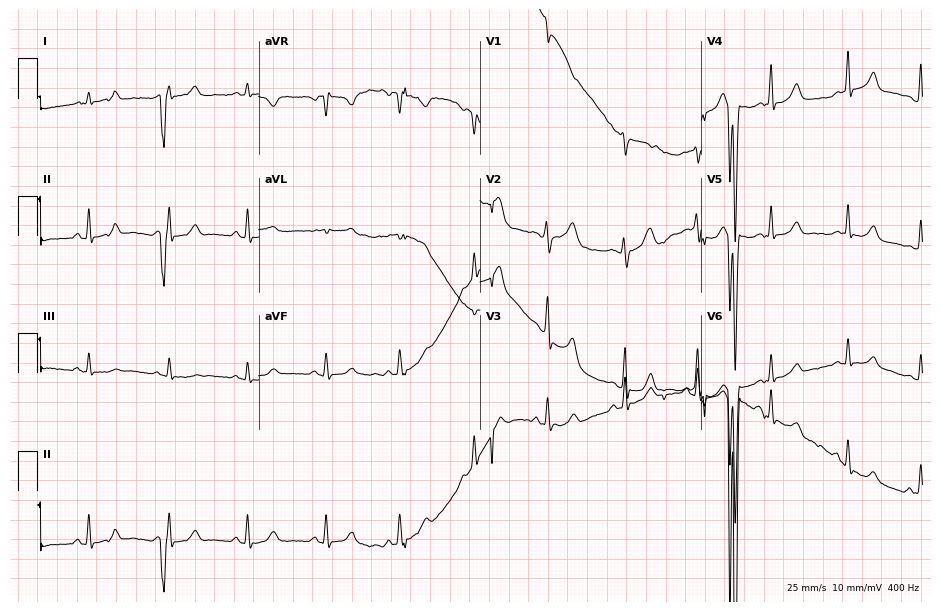
12-lead ECG (9-second recording at 400 Hz) from a female patient, 29 years old. Screened for six findings — first-degree AV block, right bundle branch block, left bundle branch block, sinus bradycardia, atrial fibrillation, sinus tachycardia — none is recorded. Other findings, if any, are not listed.